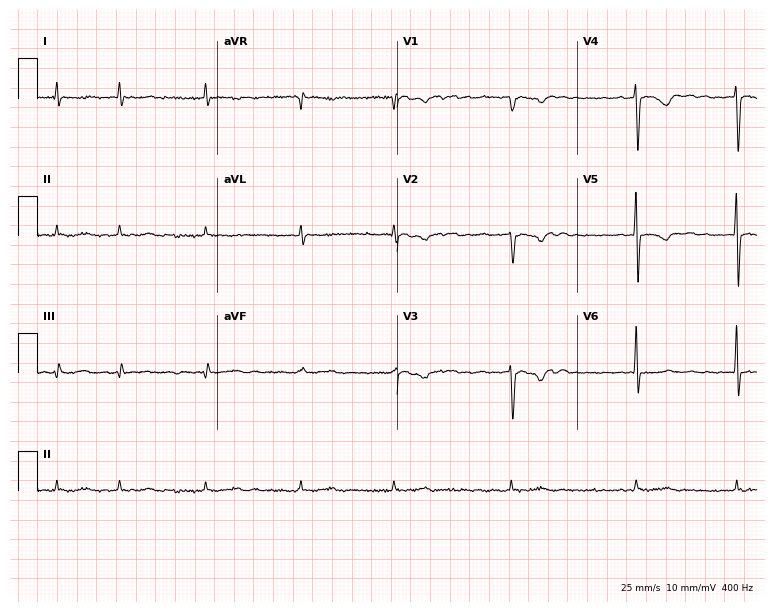
12-lead ECG from a 77-year-old female (7.3-second recording at 400 Hz). No first-degree AV block, right bundle branch block (RBBB), left bundle branch block (LBBB), sinus bradycardia, atrial fibrillation (AF) or sinus tachycardia recorded for this tracing. Other findings, if any, are not listed.